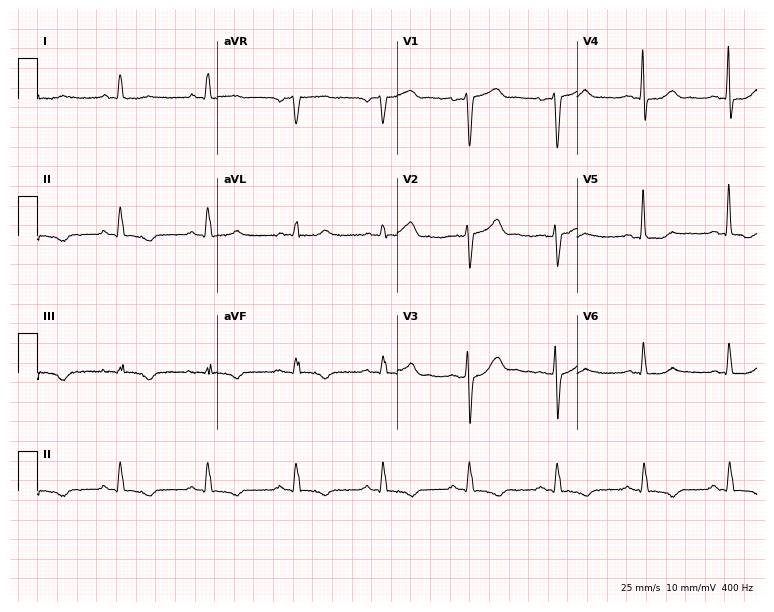
ECG — a male patient, 63 years old. Screened for six findings — first-degree AV block, right bundle branch block (RBBB), left bundle branch block (LBBB), sinus bradycardia, atrial fibrillation (AF), sinus tachycardia — none is recorded. Only these six findings were labelled.